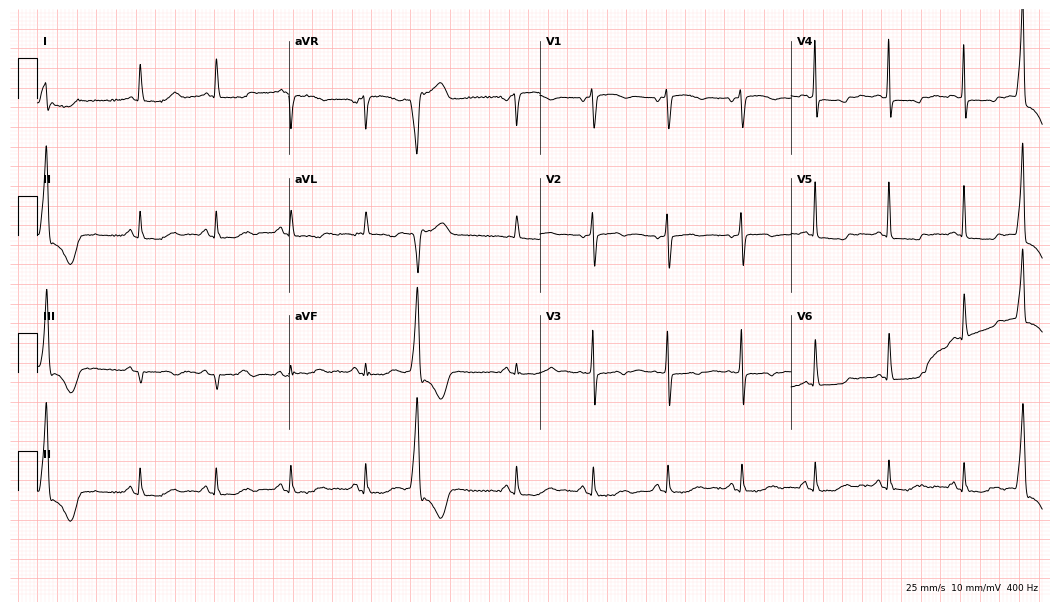
Electrocardiogram, a female patient, 79 years old. Overall reading on record: normal ECG.